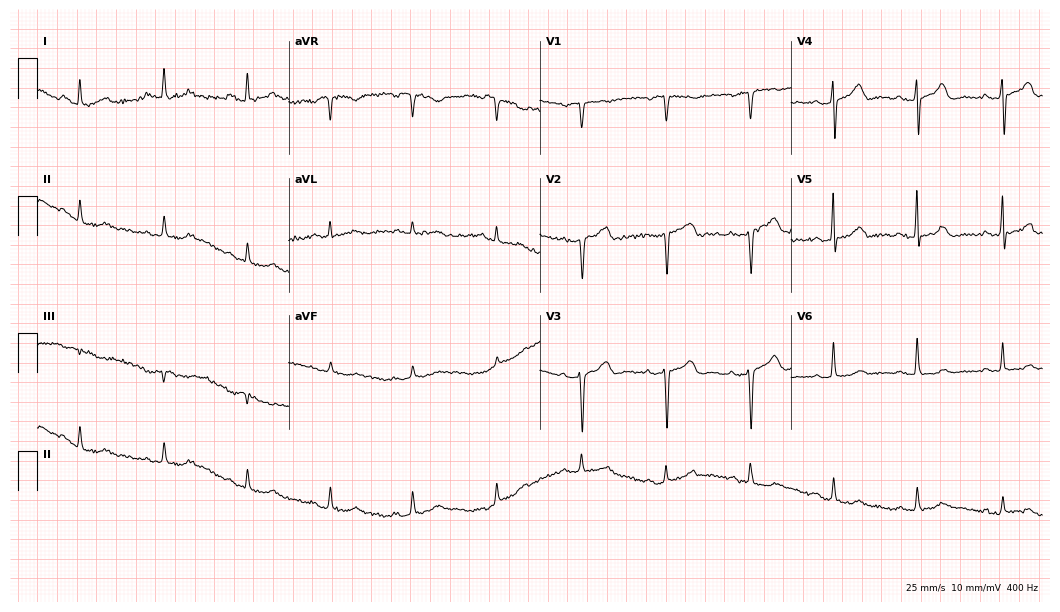
Standard 12-lead ECG recorded from a woman, 70 years old. None of these six findings is recorded: first-degree AV block, right bundle branch block, left bundle branch block, sinus bradycardia, atrial fibrillation, sinus tachycardia. Findings outside these six are not listed.